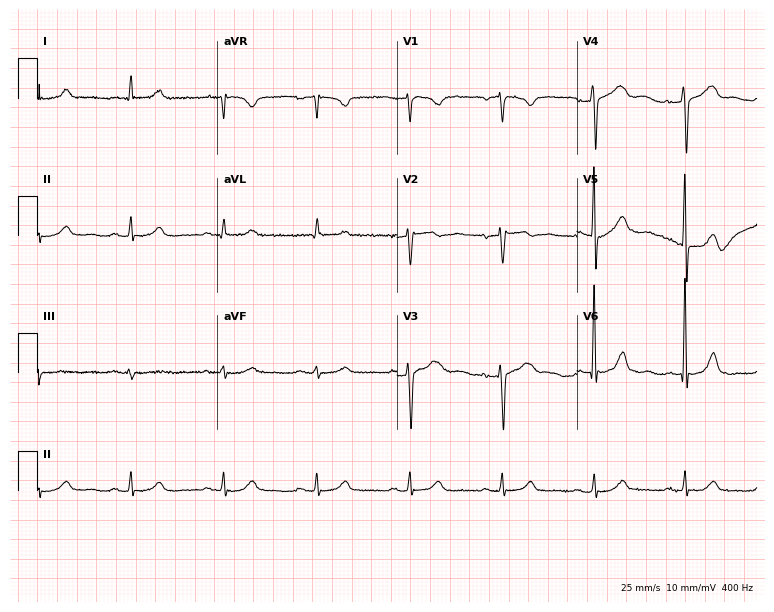
Electrocardiogram (7.3-second recording at 400 Hz), an 80-year-old male. Of the six screened findings (first-degree AV block, right bundle branch block, left bundle branch block, sinus bradycardia, atrial fibrillation, sinus tachycardia), none is recorded.